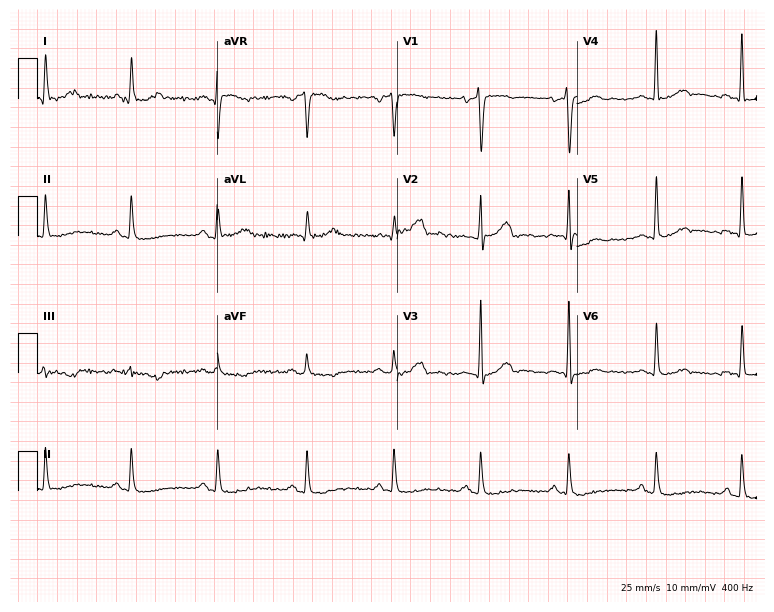
Standard 12-lead ECG recorded from a 50-year-old male patient (7.3-second recording at 400 Hz). None of these six findings is recorded: first-degree AV block, right bundle branch block (RBBB), left bundle branch block (LBBB), sinus bradycardia, atrial fibrillation (AF), sinus tachycardia.